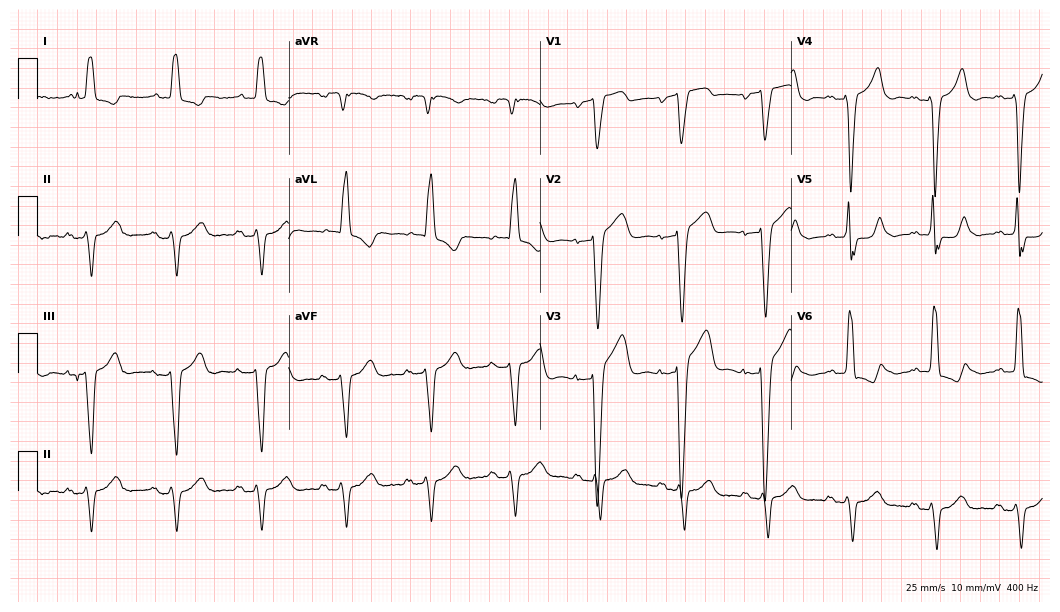
Resting 12-lead electrocardiogram. Patient: an 81-year-old woman. The tracing shows left bundle branch block.